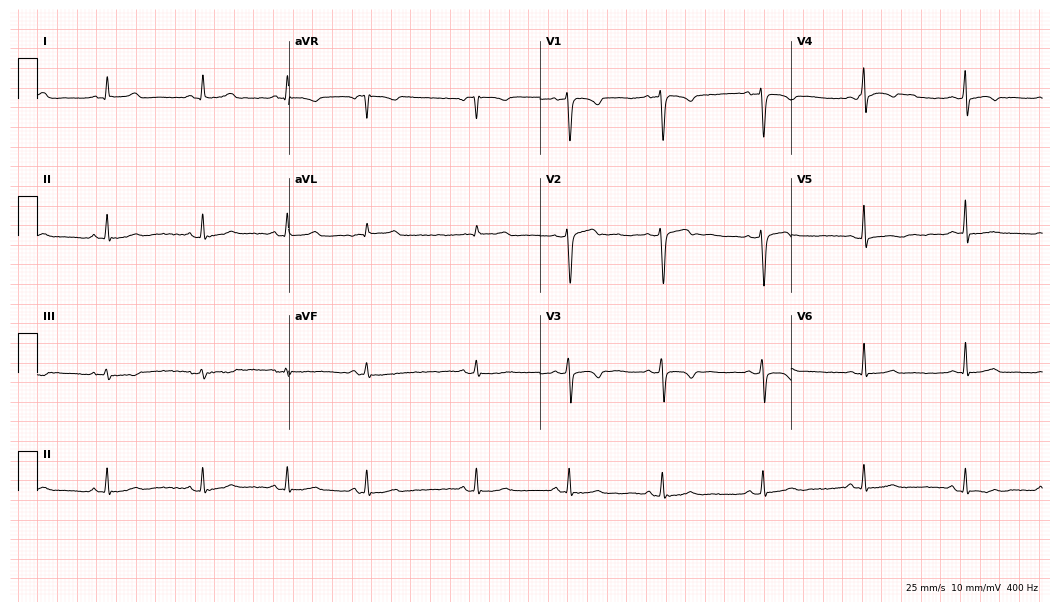
Resting 12-lead electrocardiogram (10.2-second recording at 400 Hz). Patient: a woman, 29 years old. None of these six findings is recorded: first-degree AV block, right bundle branch block, left bundle branch block, sinus bradycardia, atrial fibrillation, sinus tachycardia. Only these six findings were labelled.